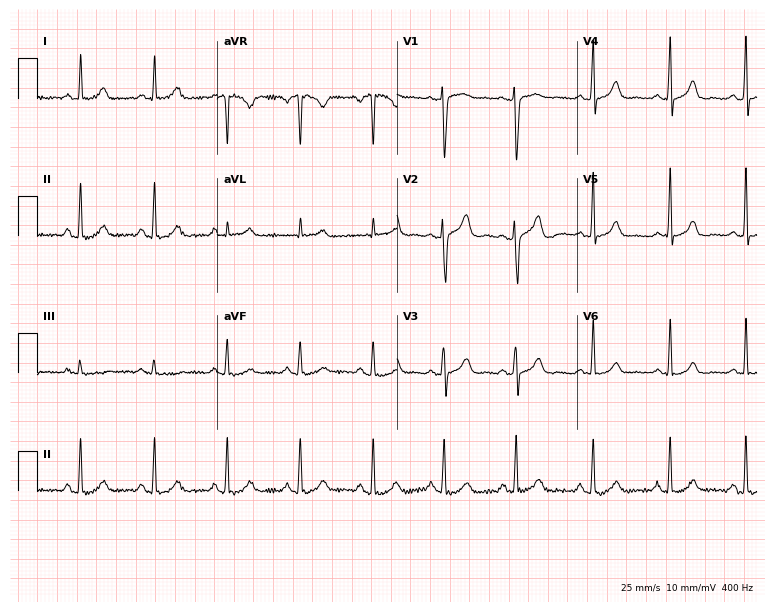
12-lead ECG (7.3-second recording at 400 Hz) from a female, 34 years old. Labelled as a normal ECG.